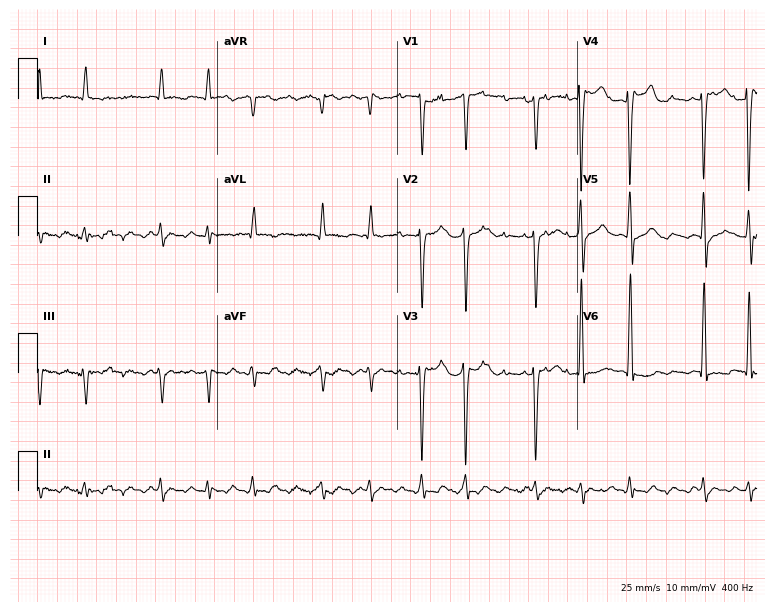
12-lead ECG from a 72-year-old male (7.3-second recording at 400 Hz). No first-degree AV block, right bundle branch block (RBBB), left bundle branch block (LBBB), sinus bradycardia, atrial fibrillation (AF) or sinus tachycardia recorded for this tracing. Other findings, if any, are not listed.